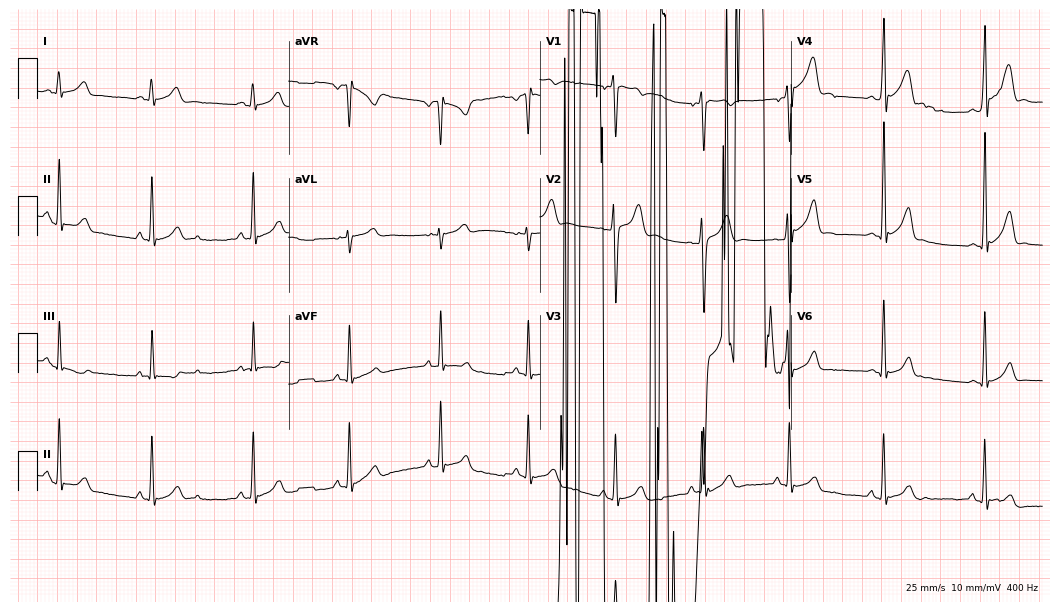
12-lead ECG from a 21-year-old man (10.2-second recording at 400 Hz). No first-degree AV block, right bundle branch block (RBBB), left bundle branch block (LBBB), sinus bradycardia, atrial fibrillation (AF) or sinus tachycardia recorded for this tracing.